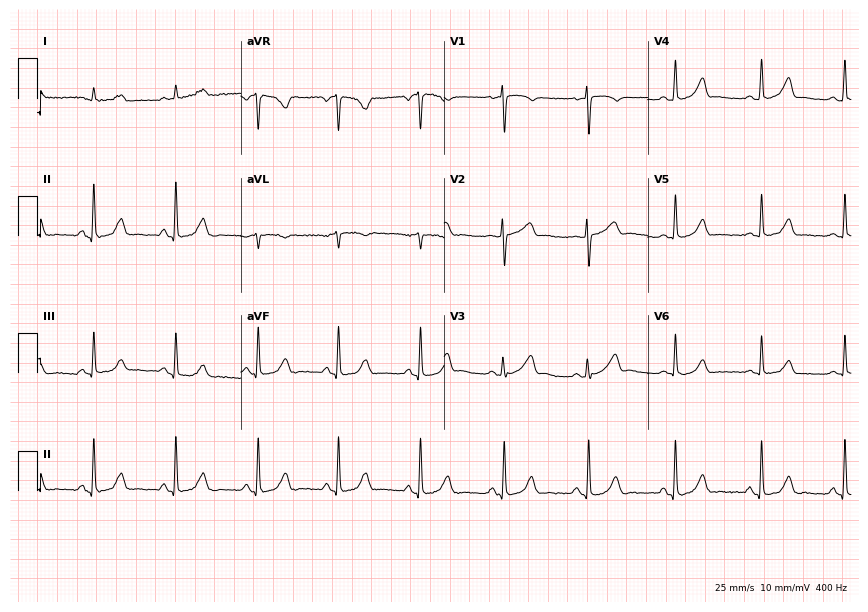
Resting 12-lead electrocardiogram. Patient: a female, 35 years old. Read as a normal ECG.